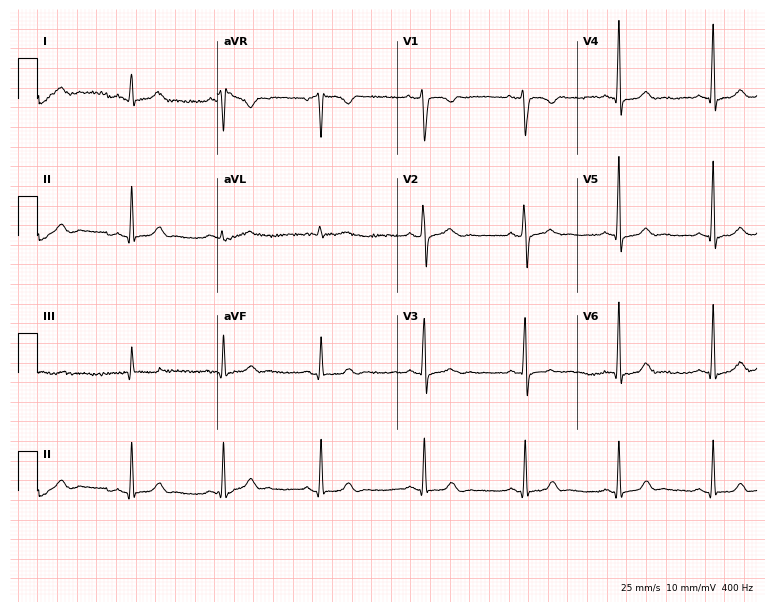
12-lead ECG from a female, 70 years old (7.3-second recording at 400 Hz). No first-degree AV block, right bundle branch block, left bundle branch block, sinus bradycardia, atrial fibrillation or sinus tachycardia recorded for this tracing.